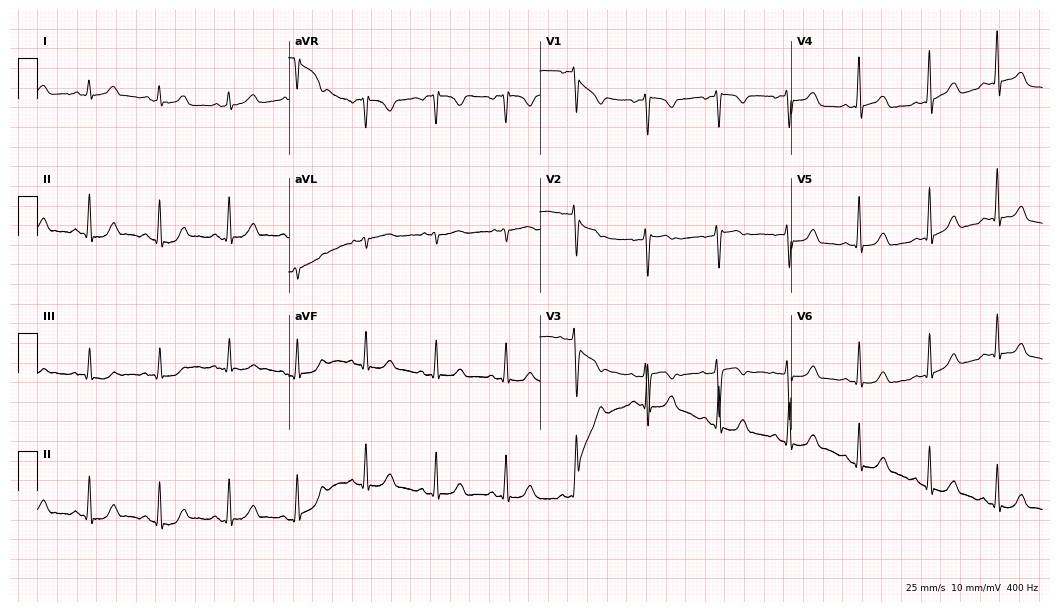
Electrocardiogram, a 41-year-old female. Overall reading on record: normal ECG.